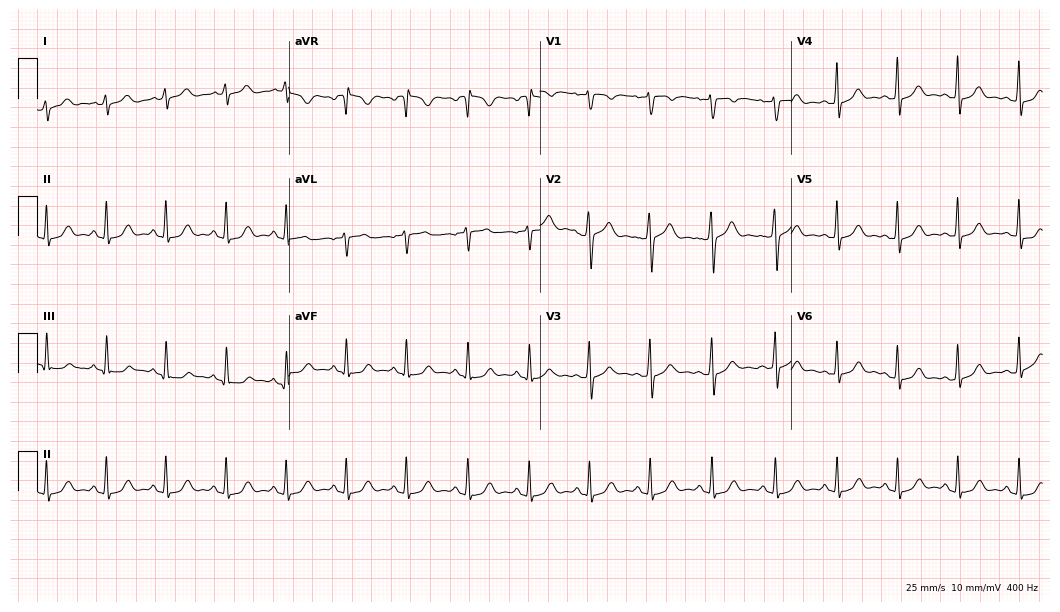
ECG — a female patient, 30 years old. Labelled as a normal ECG.